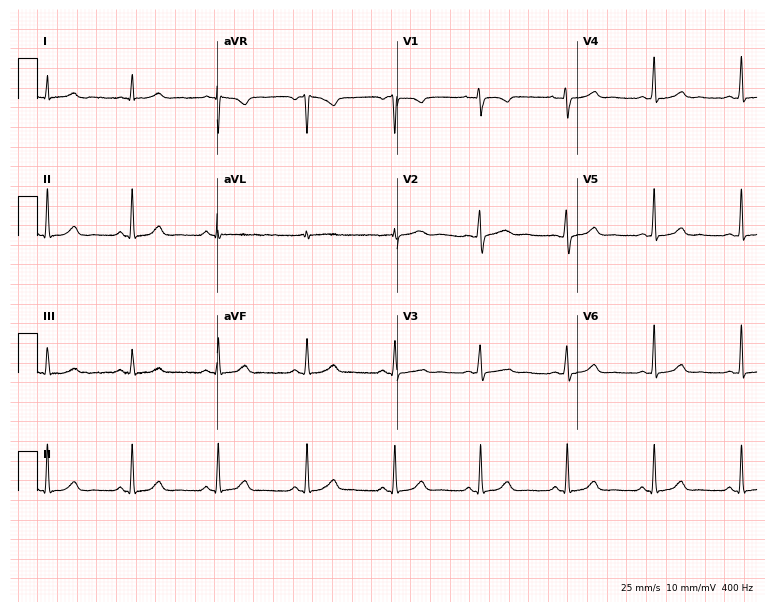
ECG — a 41-year-old woman. Screened for six findings — first-degree AV block, right bundle branch block, left bundle branch block, sinus bradycardia, atrial fibrillation, sinus tachycardia — none is recorded. Other findings, if any, are not listed.